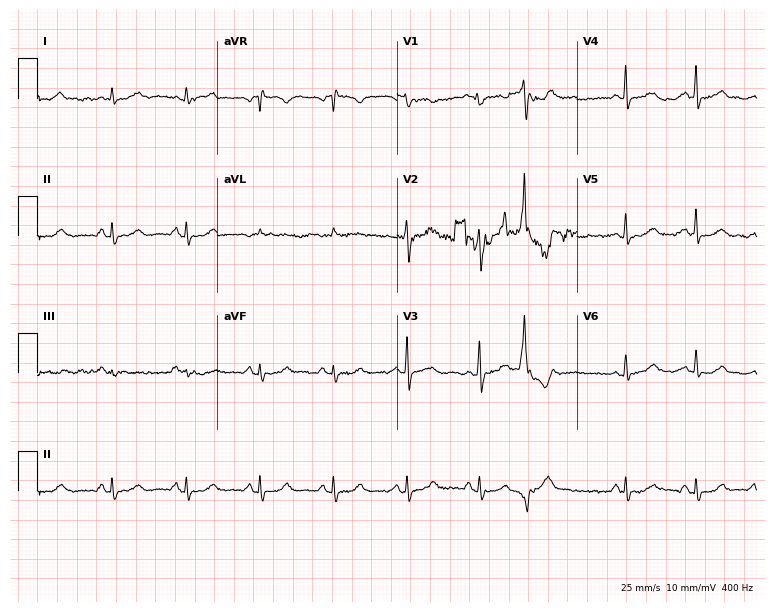
Electrocardiogram (7.3-second recording at 400 Hz), a female, 34 years old. Of the six screened findings (first-degree AV block, right bundle branch block, left bundle branch block, sinus bradycardia, atrial fibrillation, sinus tachycardia), none is recorded.